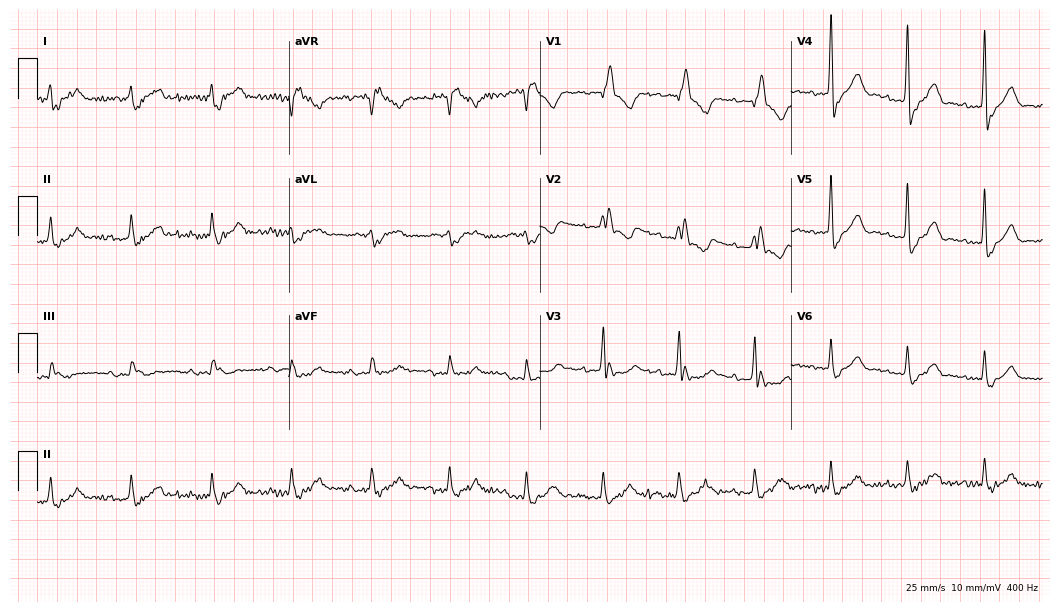
ECG — a man, 80 years old. Findings include right bundle branch block (RBBB).